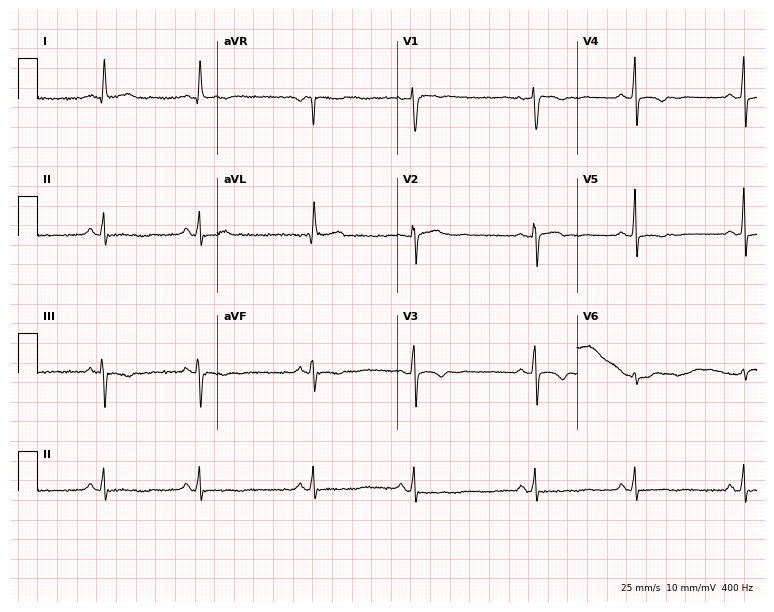
12-lead ECG from a female patient, 48 years old. Screened for six findings — first-degree AV block, right bundle branch block, left bundle branch block, sinus bradycardia, atrial fibrillation, sinus tachycardia — none is recorded. Other findings, if any, are not listed.